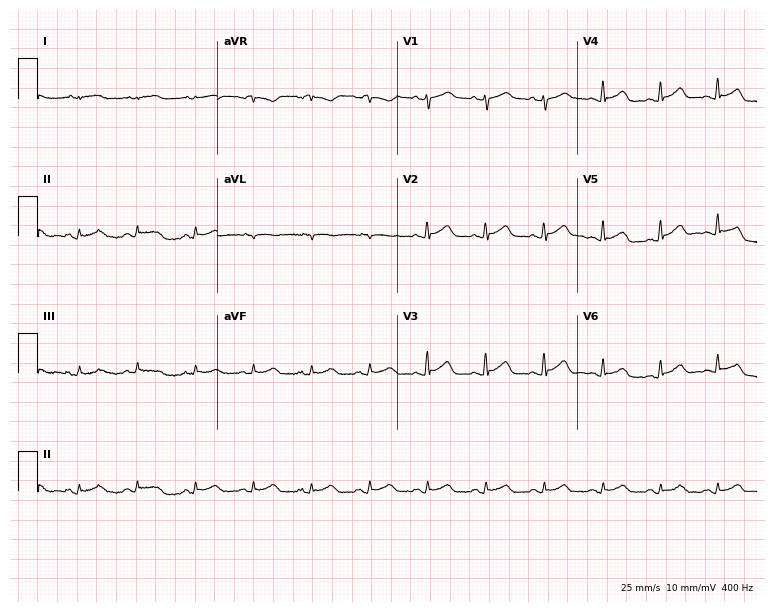
12-lead ECG (7.3-second recording at 400 Hz) from a female, 36 years old. Findings include sinus tachycardia (a sinus rate of 100 beats per minute or more).